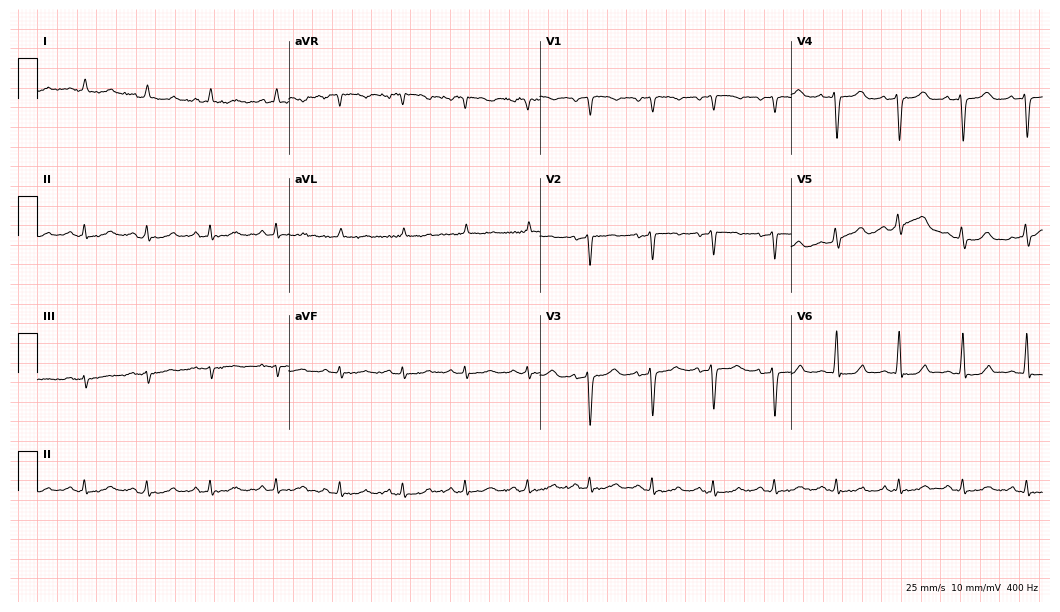
ECG — a 47-year-old male. Labelled as a normal ECG.